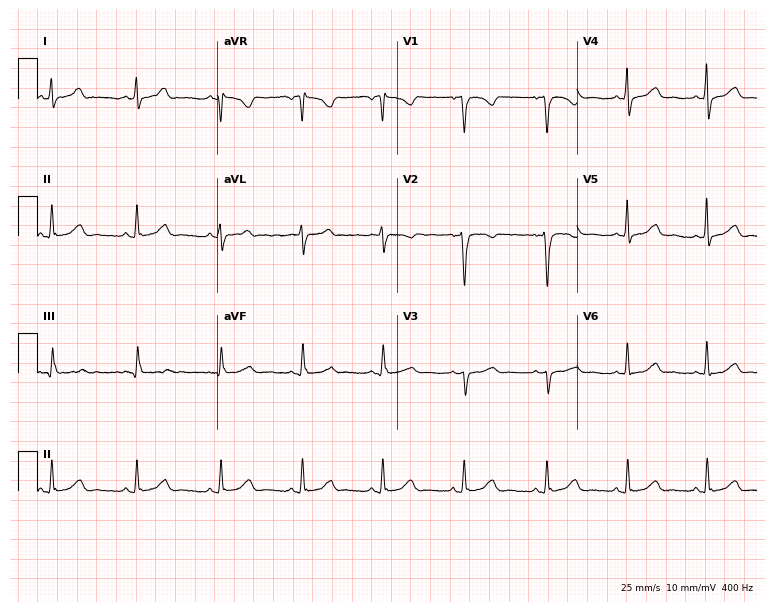
Electrocardiogram (7.3-second recording at 400 Hz), a 38-year-old female patient. Of the six screened findings (first-degree AV block, right bundle branch block (RBBB), left bundle branch block (LBBB), sinus bradycardia, atrial fibrillation (AF), sinus tachycardia), none is recorded. Findings outside these six are not listed.